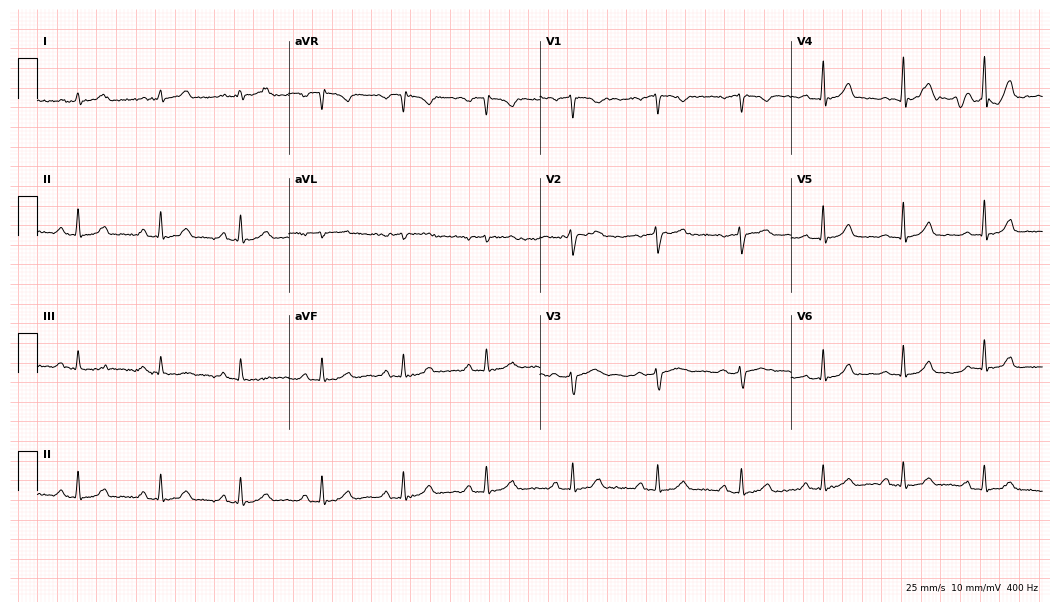
12-lead ECG (10.2-second recording at 400 Hz) from a woman, 30 years old. Labelled as a normal ECG.